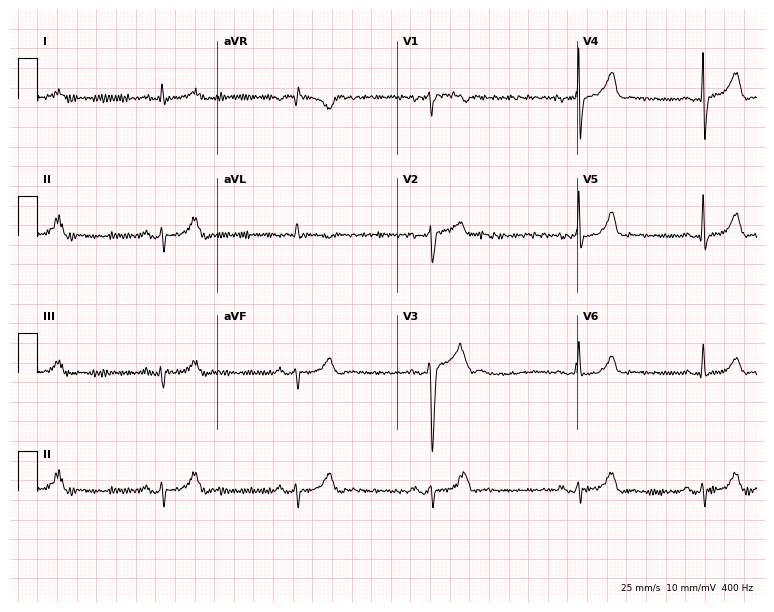
ECG — a 37-year-old male patient. Findings include sinus bradycardia (a sinus rate of 50 beats per minute or less).